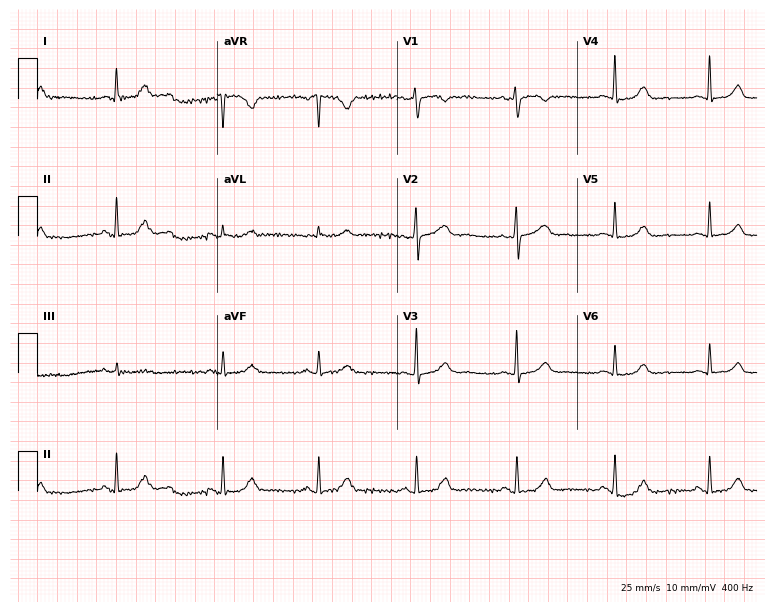
ECG (7.3-second recording at 400 Hz) — a female patient, 46 years old. Labelled as a normal ECG.